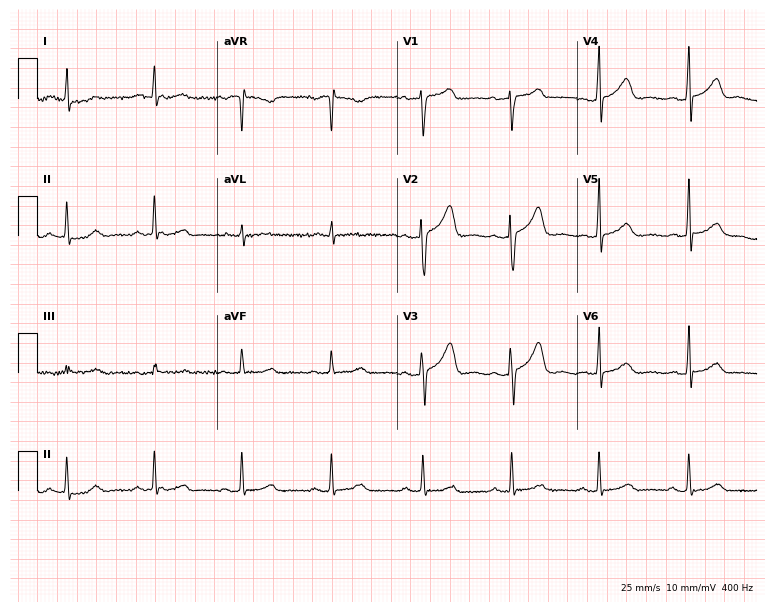
Electrocardiogram, a 40-year-old woman. Of the six screened findings (first-degree AV block, right bundle branch block, left bundle branch block, sinus bradycardia, atrial fibrillation, sinus tachycardia), none is recorded. Findings outside these six are not listed.